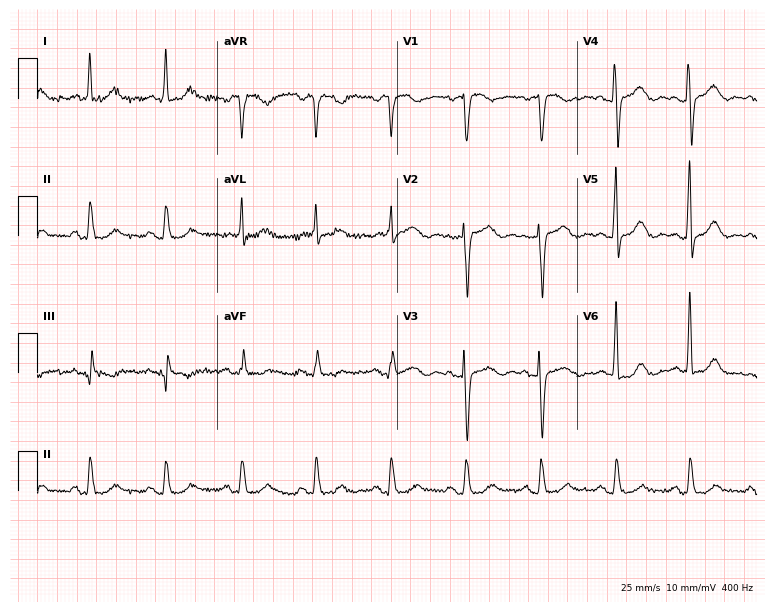
ECG (7.3-second recording at 400 Hz) — a female, 78 years old. Labelled as a normal ECG.